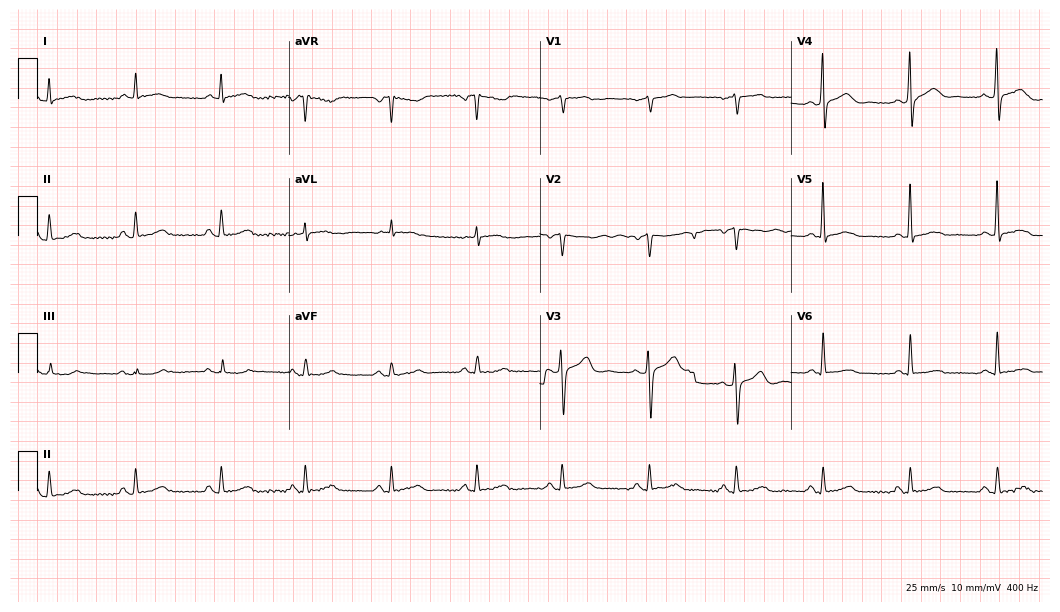
12-lead ECG from a male, 66 years old. Labelled as a normal ECG.